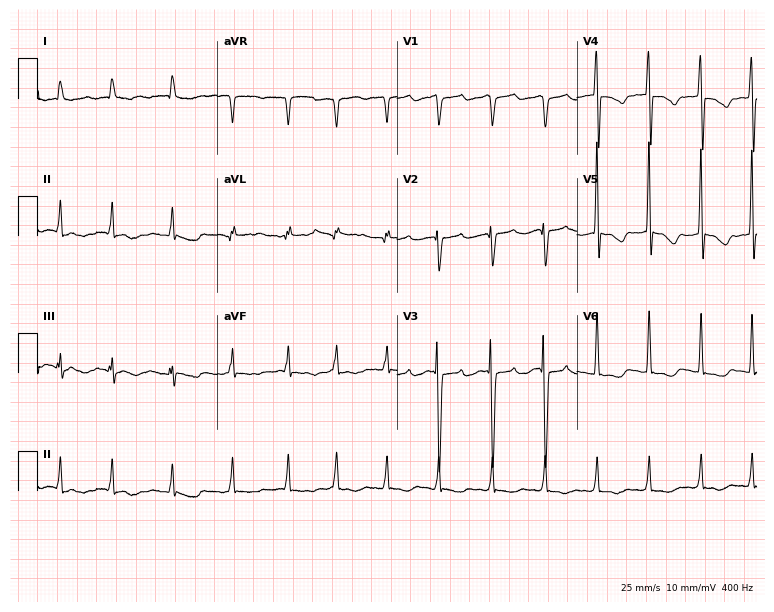
Electrocardiogram, an 81-year-old male. Of the six screened findings (first-degree AV block, right bundle branch block (RBBB), left bundle branch block (LBBB), sinus bradycardia, atrial fibrillation (AF), sinus tachycardia), none is recorded. Other findings, if any, are not listed.